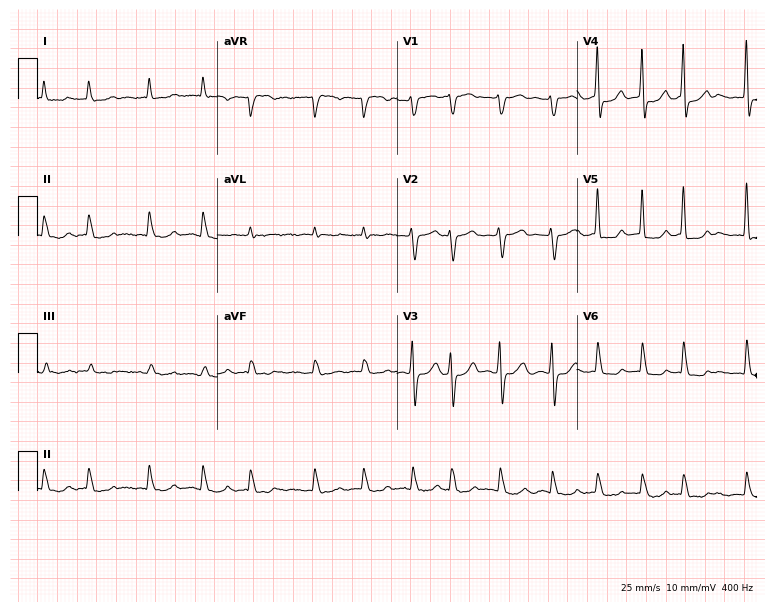
12-lead ECG from a female, 83 years old. Shows atrial fibrillation.